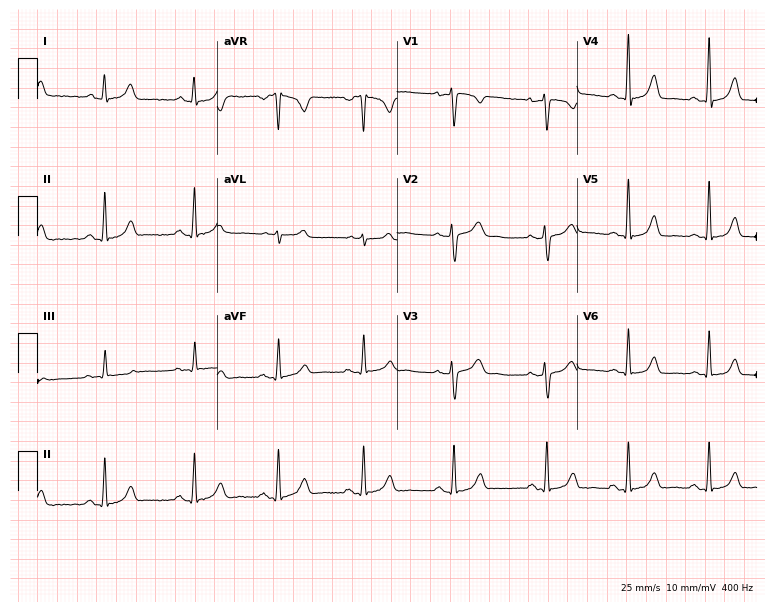
ECG — a female patient, 43 years old. Screened for six findings — first-degree AV block, right bundle branch block, left bundle branch block, sinus bradycardia, atrial fibrillation, sinus tachycardia — none is recorded.